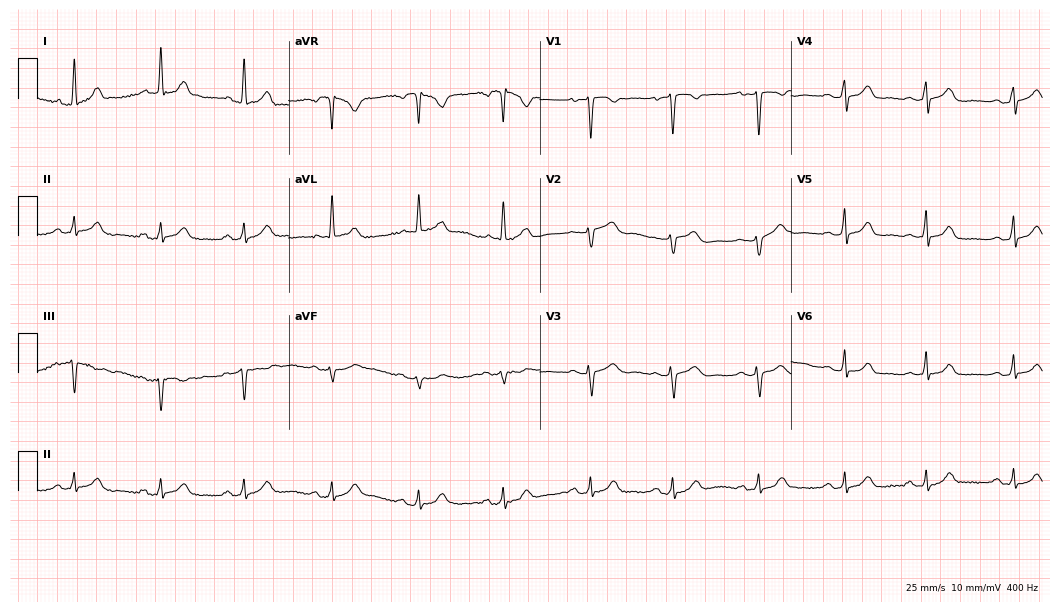
Standard 12-lead ECG recorded from a 28-year-old female (10.2-second recording at 400 Hz). Read as a normal ECG.